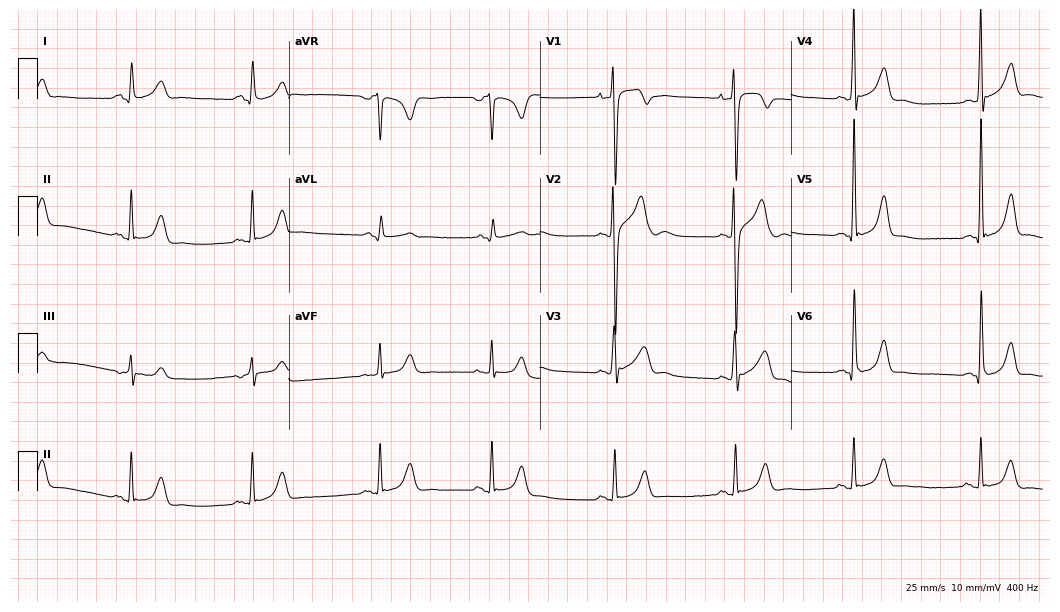
Resting 12-lead electrocardiogram (10.2-second recording at 400 Hz). Patient: a 20-year-old male. Read as a normal ECG.